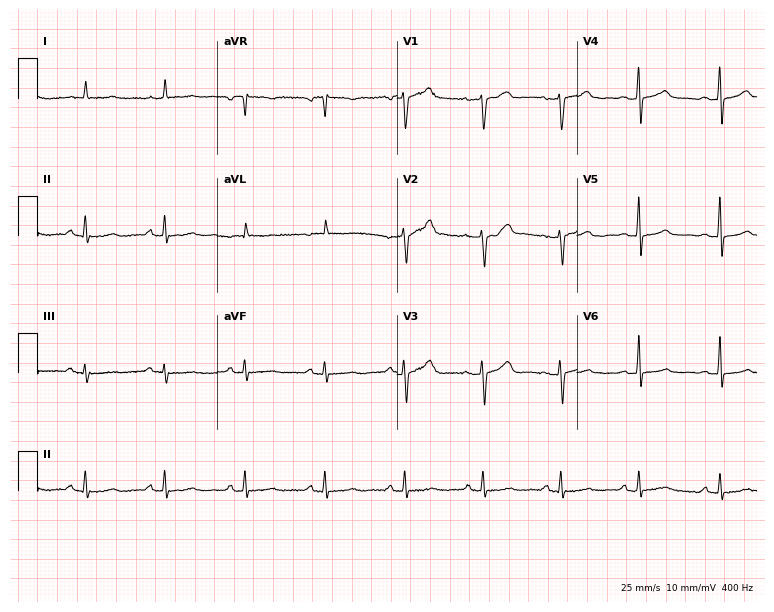
Electrocardiogram, a female, 52 years old. Of the six screened findings (first-degree AV block, right bundle branch block, left bundle branch block, sinus bradycardia, atrial fibrillation, sinus tachycardia), none is recorded. Other findings, if any, are not listed.